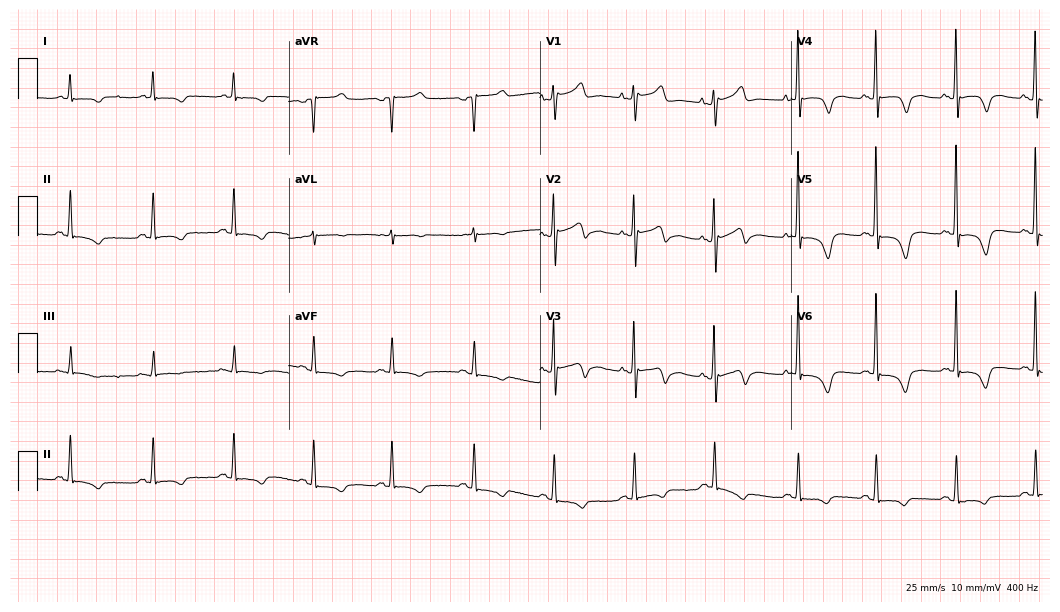
ECG — a woman, 65 years old. Screened for six findings — first-degree AV block, right bundle branch block (RBBB), left bundle branch block (LBBB), sinus bradycardia, atrial fibrillation (AF), sinus tachycardia — none is recorded.